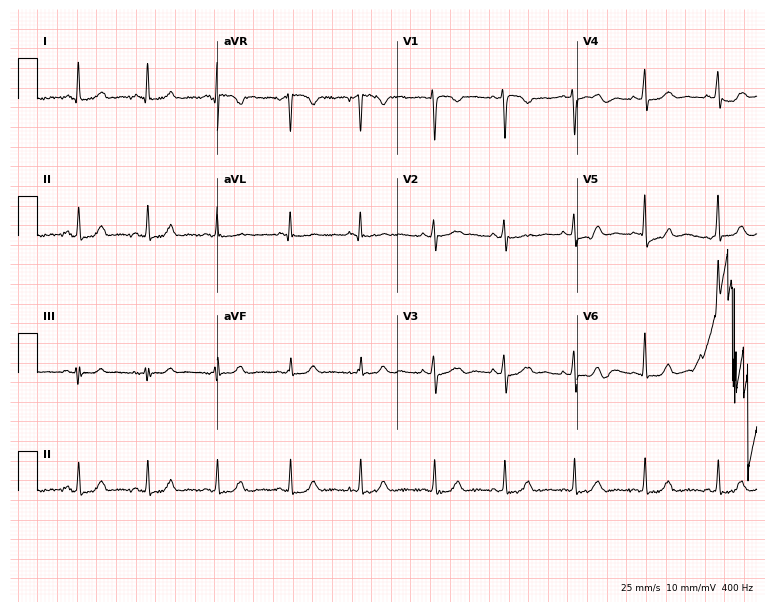
12-lead ECG from a female, 36 years old. Labelled as a normal ECG.